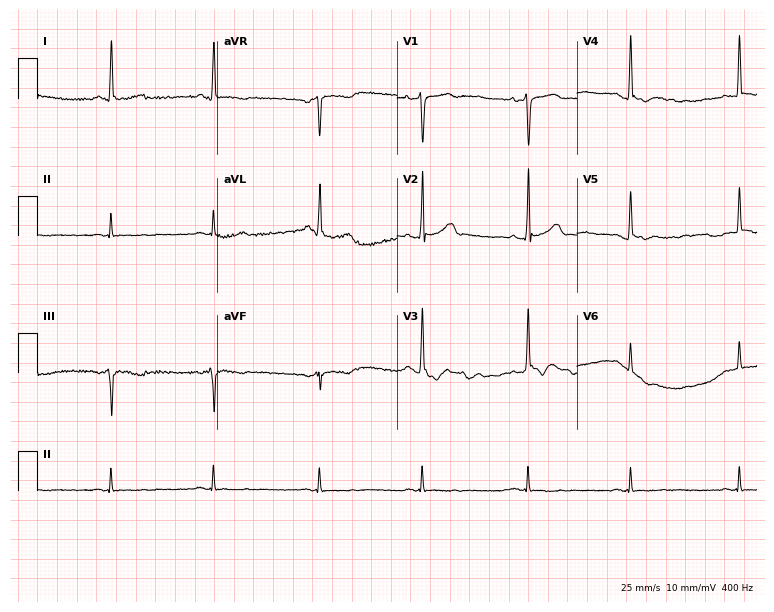
ECG — a 36-year-old male. Screened for six findings — first-degree AV block, right bundle branch block, left bundle branch block, sinus bradycardia, atrial fibrillation, sinus tachycardia — none is recorded. Other findings, if any, are not listed.